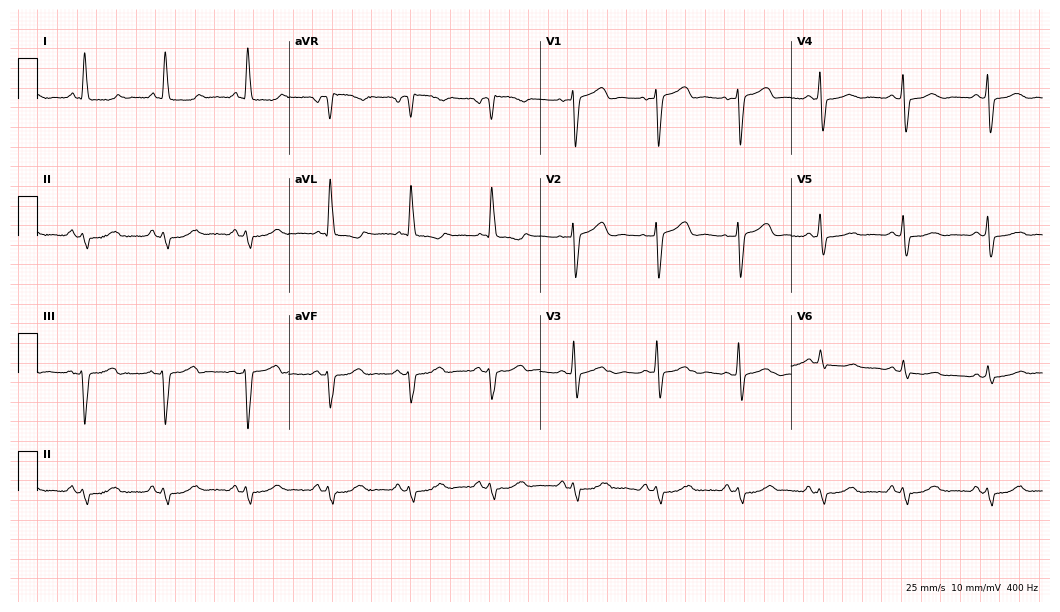
Resting 12-lead electrocardiogram. Patient: a female, 78 years old. None of these six findings is recorded: first-degree AV block, right bundle branch block (RBBB), left bundle branch block (LBBB), sinus bradycardia, atrial fibrillation (AF), sinus tachycardia. Findings outside these six are not listed.